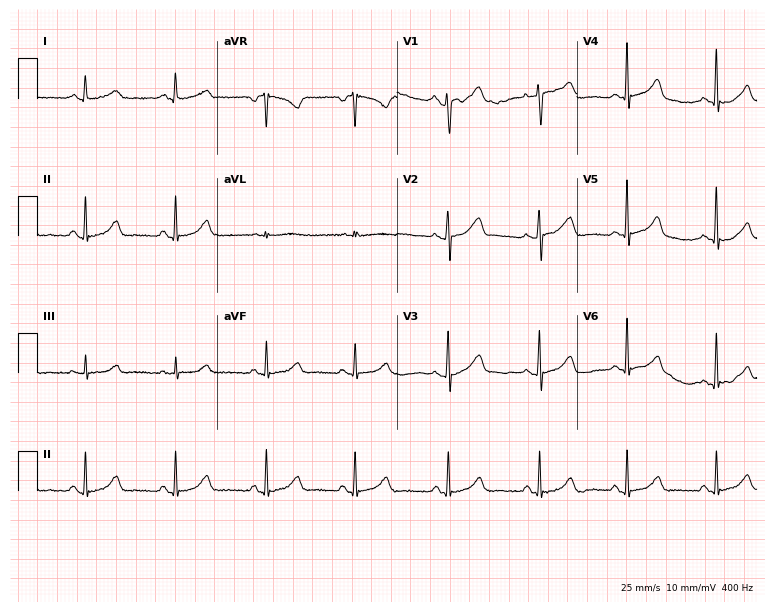
ECG — a female patient, 42 years old. Labelled as a normal ECG.